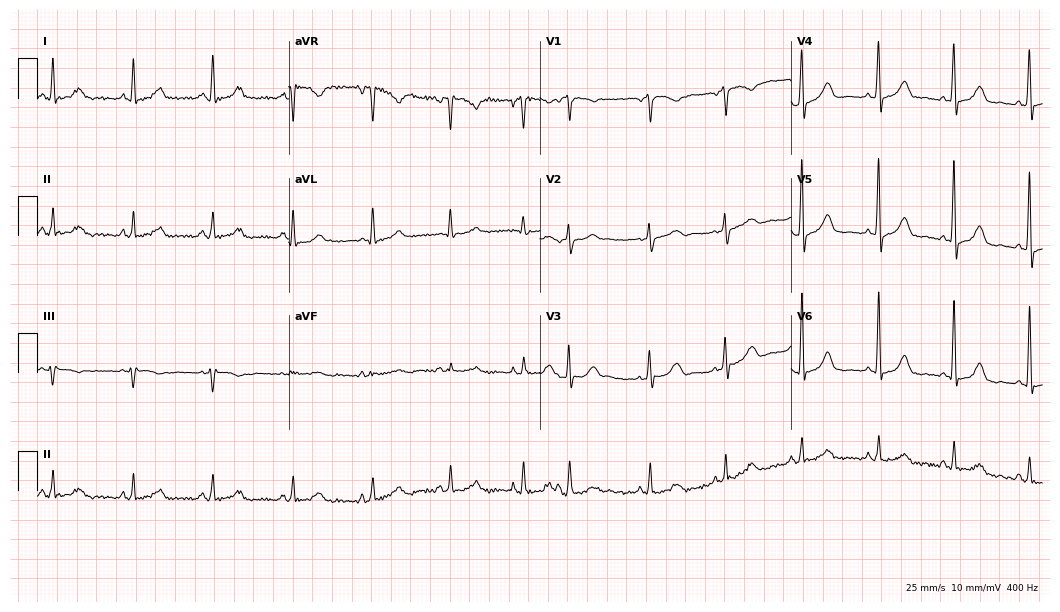
12-lead ECG from a 60-year-old female patient (10.2-second recording at 400 Hz). Recorded interpretation: within normal limits.